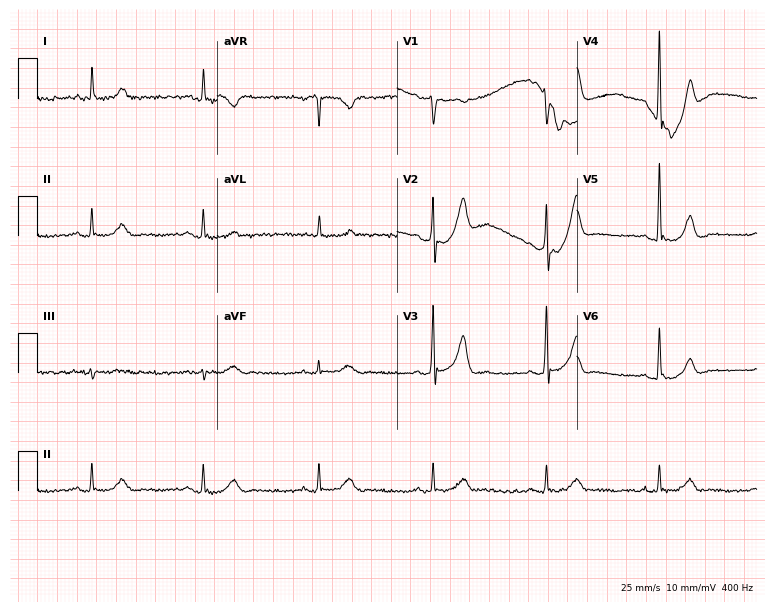
Electrocardiogram, a 65-year-old male. Overall reading on record: normal ECG.